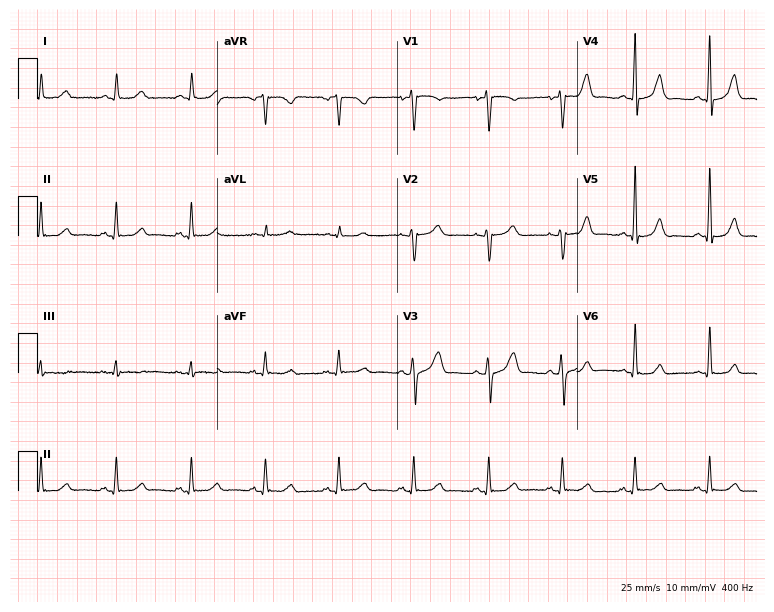
12-lead ECG from a female, 63 years old. Labelled as a normal ECG.